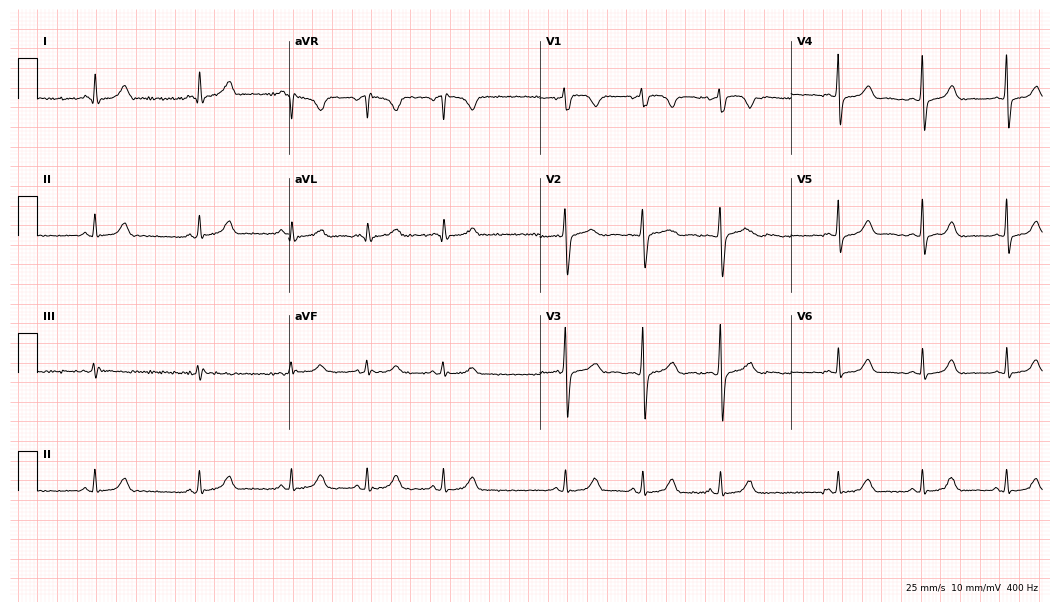
12-lead ECG (10.2-second recording at 400 Hz) from a 21-year-old female. Labelled as a normal ECG.